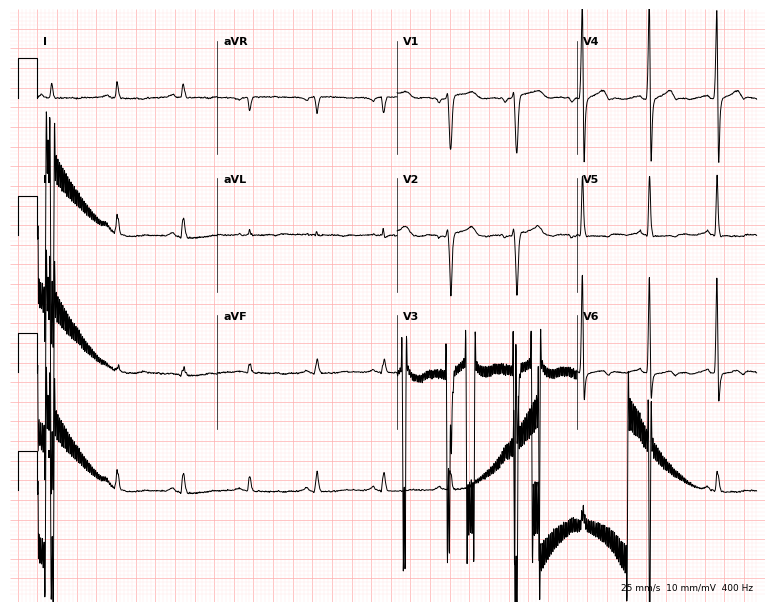
ECG (7.3-second recording at 400 Hz) — a 60-year-old male patient. Screened for six findings — first-degree AV block, right bundle branch block (RBBB), left bundle branch block (LBBB), sinus bradycardia, atrial fibrillation (AF), sinus tachycardia — none is recorded. Other findings, if any, are not listed.